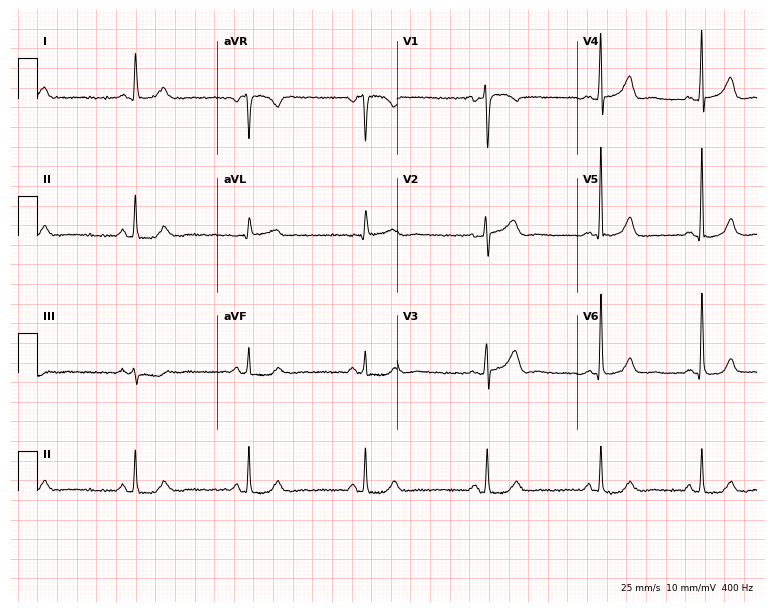
12-lead ECG from a 47-year-old woman. No first-degree AV block, right bundle branch block, left bundle branch block, sinus bradycardia, atrial fibrillation or sinus tachycardia recorded for this tracing.